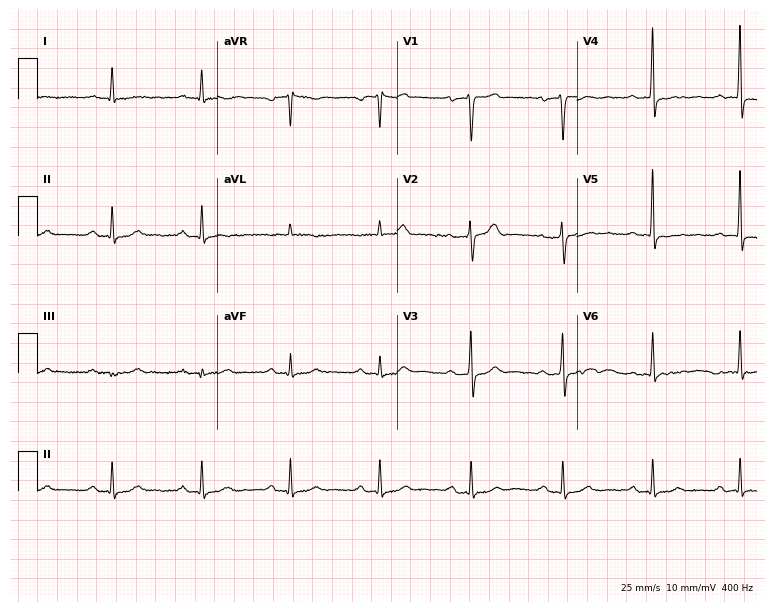
Standard 12-lead ECG recorded from a 64-year-old man. None of these six findings is recorded: first-degree AV block, right bundle branch block, left bundle branch block, sinus bradycardia, atrial fibrillation, sinus tachycardia. Other findings, if any, are not listed.